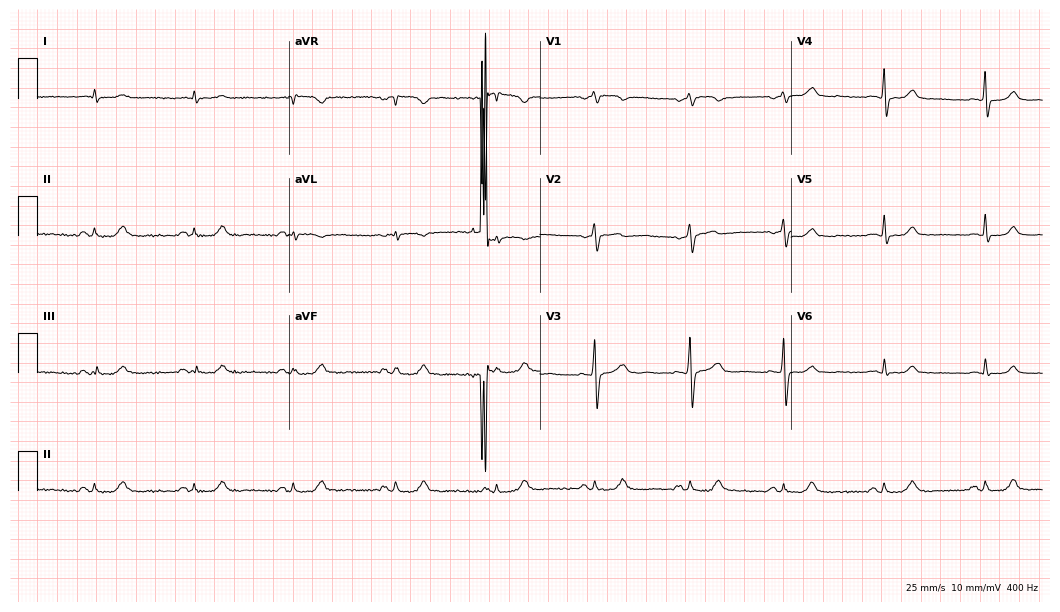
Resting 12-lead electrocardiogram. Patient: a man, 70 years old. None of these six findings is recorded: first-degree AV block, right bundle branch block, left bundle branch block, sinus bradycardia, atrial fibrillation, sinus tachycardia. Other findings, if any, are not listed.